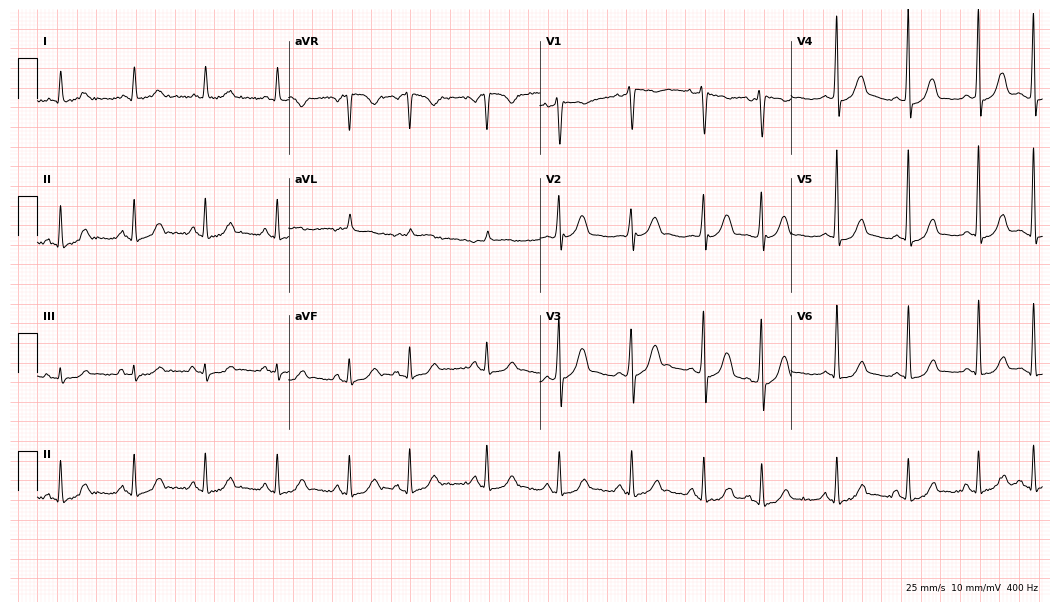
Standard 12-lead ECG recorded from an 84-year-old man. Read as a normal ECG.